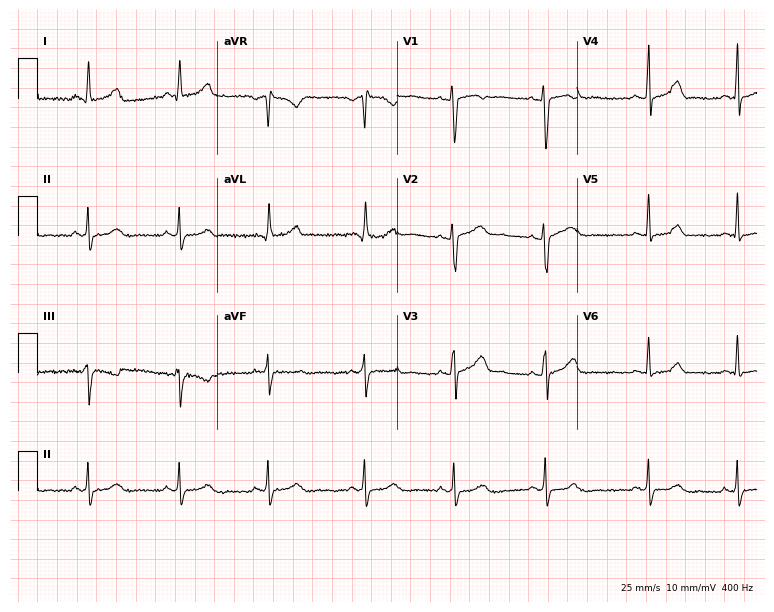
Resting 12-lead electrocardiogram (7.3-second recording at 400 Hz). Patient: a 33-year-old female. Read as a normal ECG.